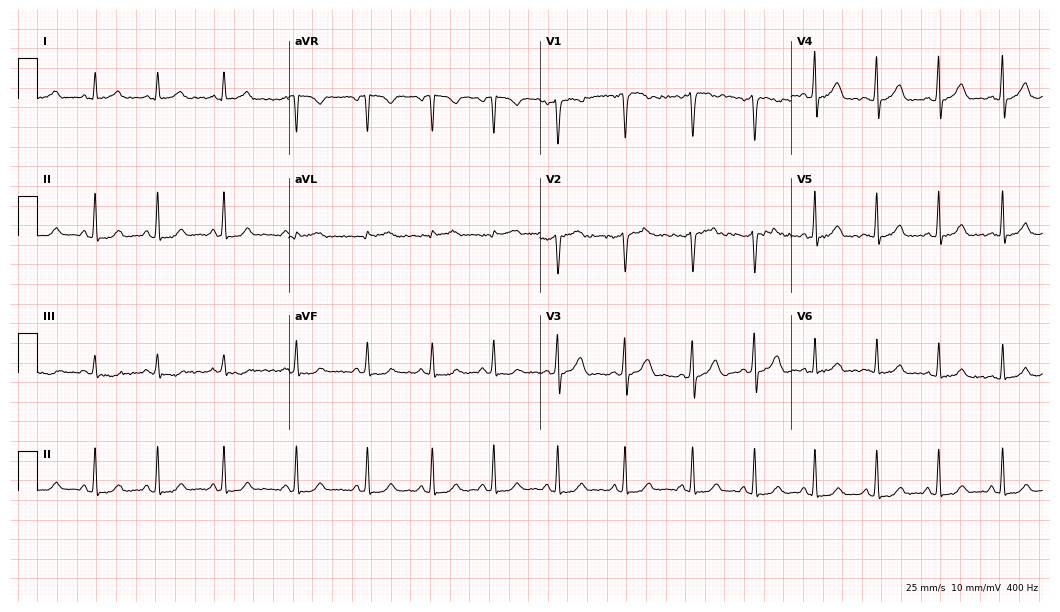
Resting 12-lead electrocardiogram (10.2-second recording at 400 Hz). Patient: a 37-year-old woman. None of these six findings is recorded: first-degree AV block, right bundle branch block, left bundle branch block, sinus bradycardia, atrial fibrillation, sinus tachycardia. Findings outside these six are not listed.